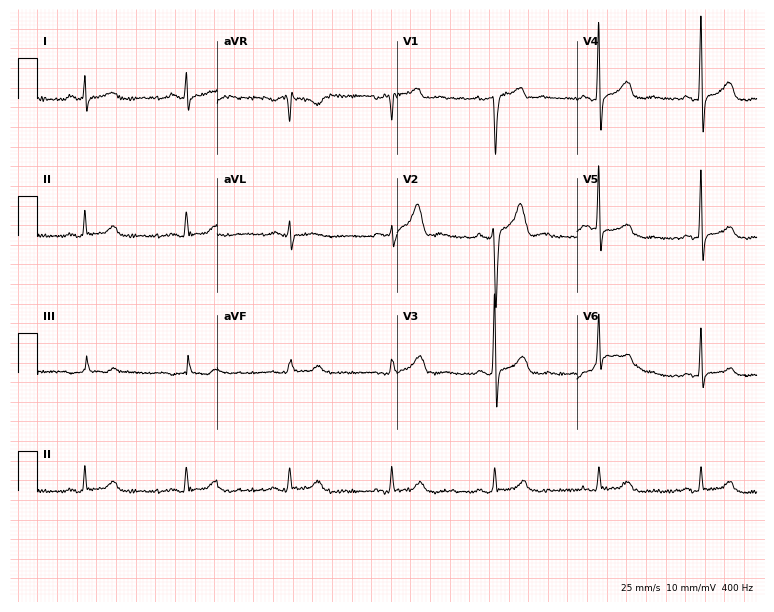
ECG — a 56-year-old male patient. Screened for six findings — first-degree AV block, right bundle branch block (RBBB), left bundle branch block (LBBB), sinus bradycardia, atrial fibrillation (AF), sinus tachycardia — none is recorded.